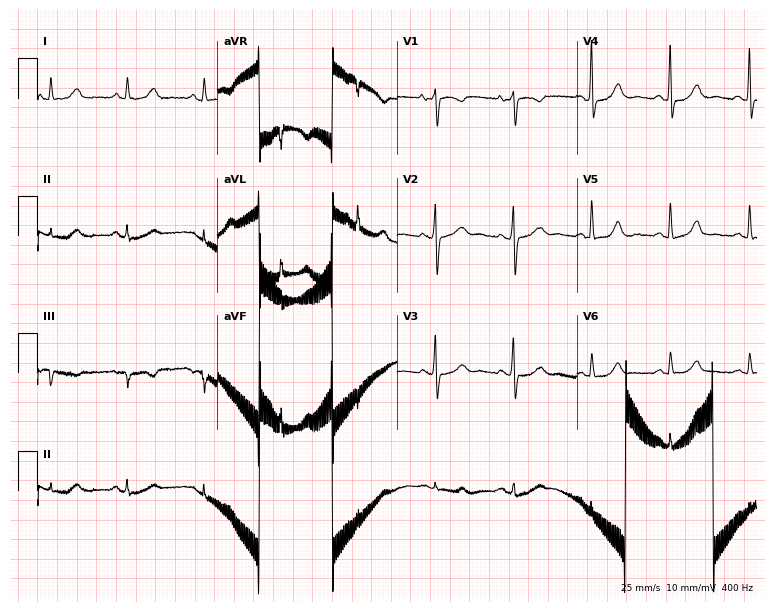
12-lead ECG (7.3-second recording at 400 Hz) from a 68-year-old female. Screened for six findings — first-degree AV block, right bundle branch block, left bundle branch block, sinus bradycardia, atrial fibrillation, sinus tachycardia — none is recorded.